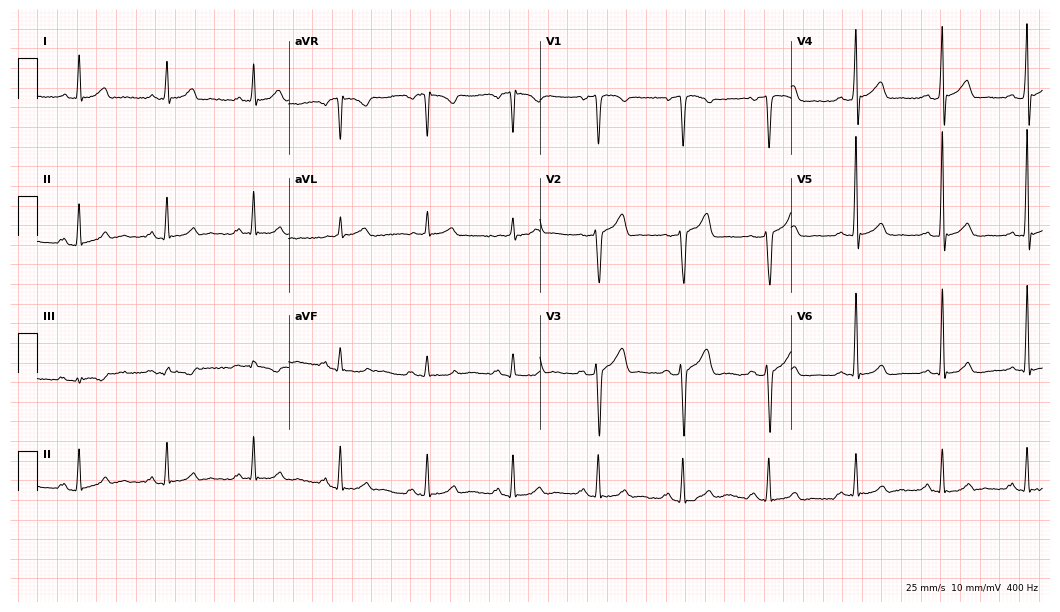
Resting 12-lead electrocardiogram. Patient: a 39-year-old male. Read as a normal ECG.